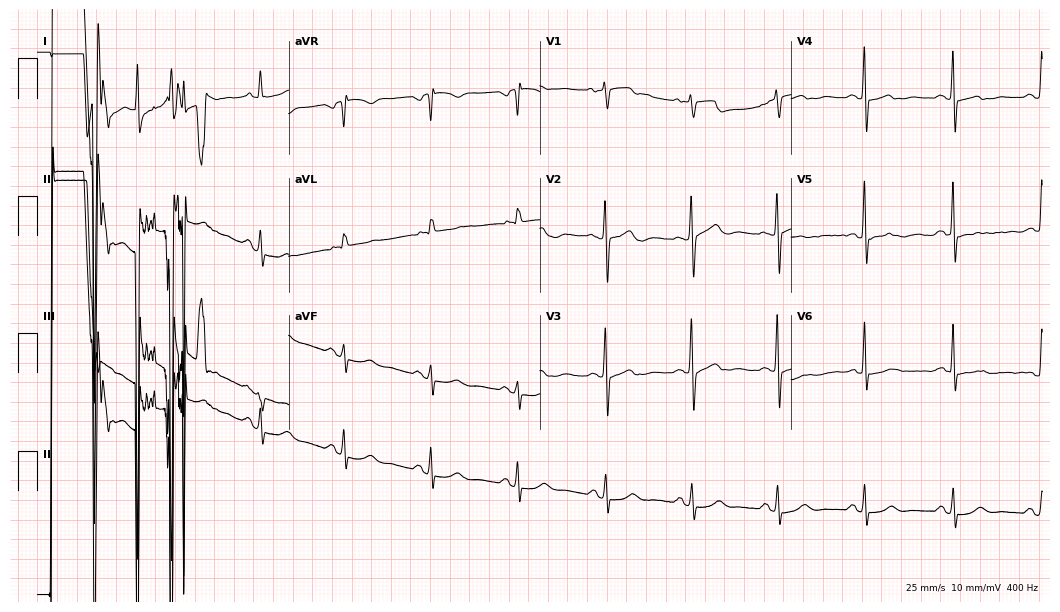
Standard 12-lead ECG recorded from a woman, 67 years old. None of these six findings is recorded: first-degree AV block, right bundle branch block, left bundle branch block, sinus bradycardia, atrial fibrillation, sinus tachycardia.